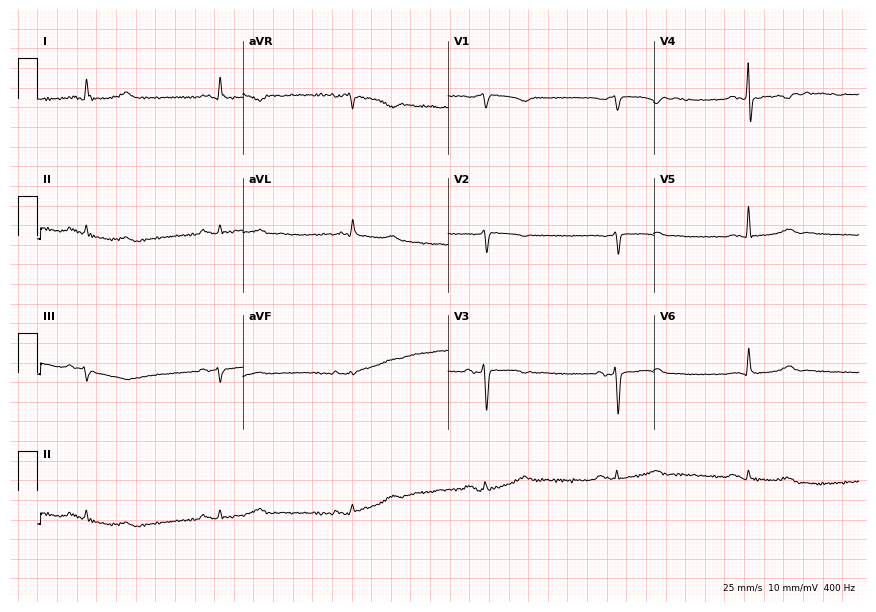
Resting 12-lead electrocardiogram (8.4-second recording at 400 Hz). Patient: a female, 77 years old. None of these six findings is recorded: first-degree AV block, right bundle branch block, left bundle branch block, sinus bradycardia, atrial fibrillation, sinus tachycardia. Findings outside these six are not listed.